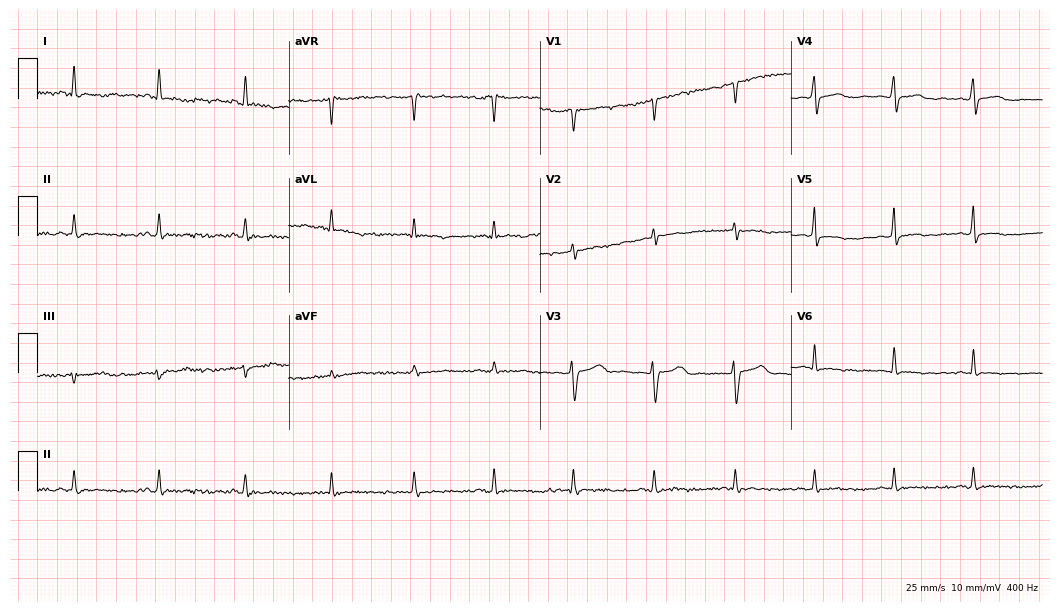
Resting 12-lead electrocardiogram (10.2-second recording at 400 Hz). Patient: a 47-year-old female. None of these six findings is recorded: first-degree AV block, right bundle branch block, left bundle branch block, sinus bradycardia, atrial fibrillation, sinus tachycardia.